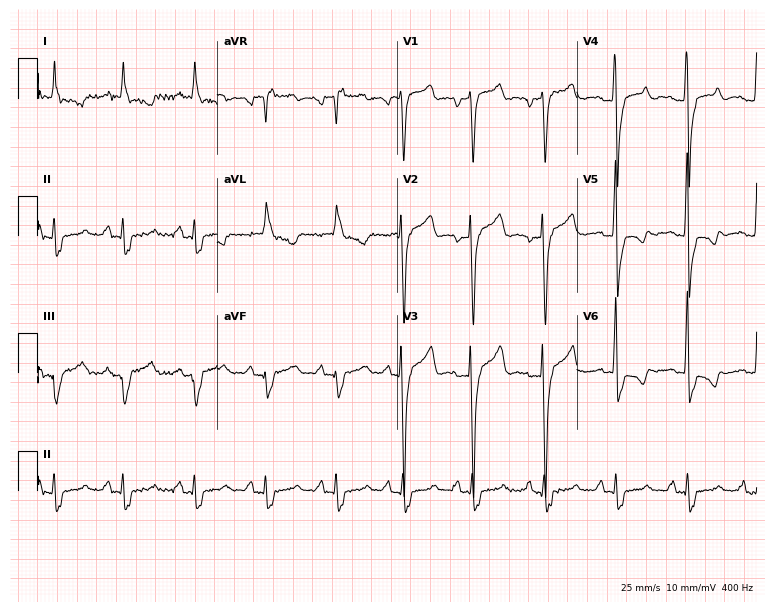
Electrocardiogram, a 57-year-old male patient. Interpretation includes left bundle branch block.